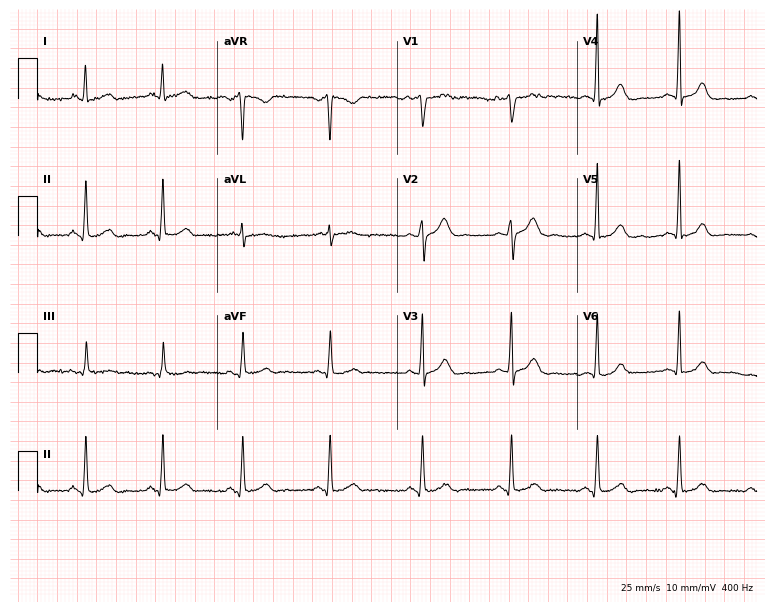
Electrocardiogram (7.3-second recording at 400 Hz), a 32-year-old woman. Overall reading on record: normal ECG.